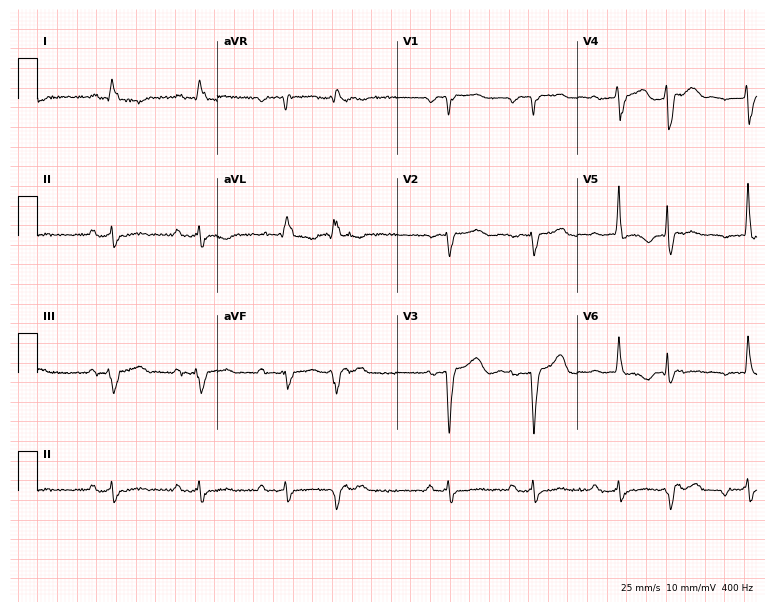
Resting 12-lead electrocardiogram (7.3-second recording at 400 Hz). Patient: a 61-year-old woman. None of these six findings is recorded: first-degree AV block, right bundle branch block, left bundle branch block, sinus bradycardia, atrial fibrillation, sinus tachycardia.